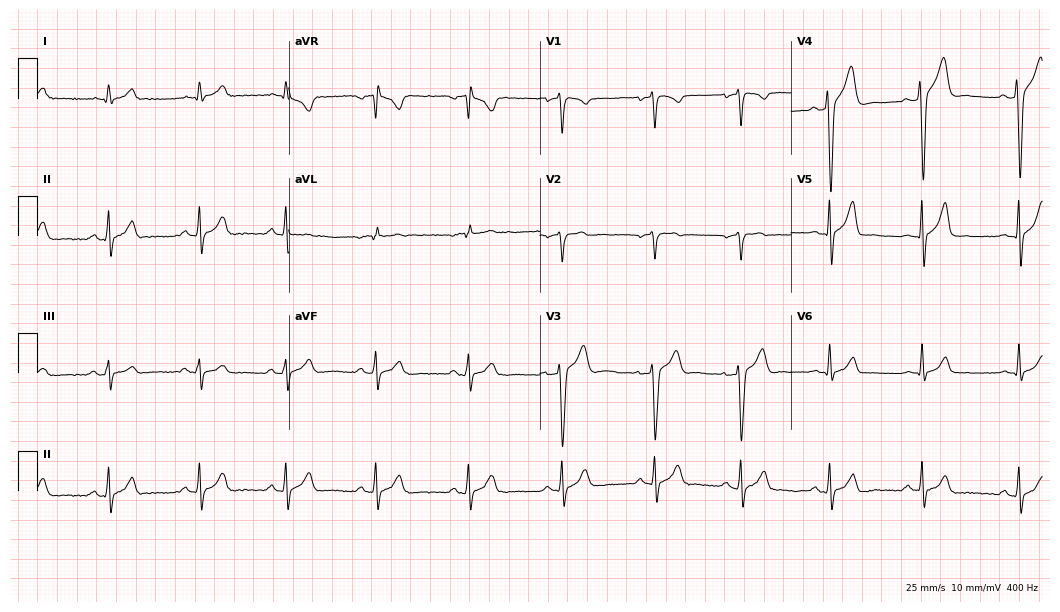
Electrocardiogram (10.2-second recording at 400 Hz), a 35-year-old male. Of the six screened findings (first-degree AV block, right bundle branch block (RBBB), left bundle branch block (LBBB), sinus bradycardia, atrial fibrillation (AF), sinus tachycardia), none is recorded.